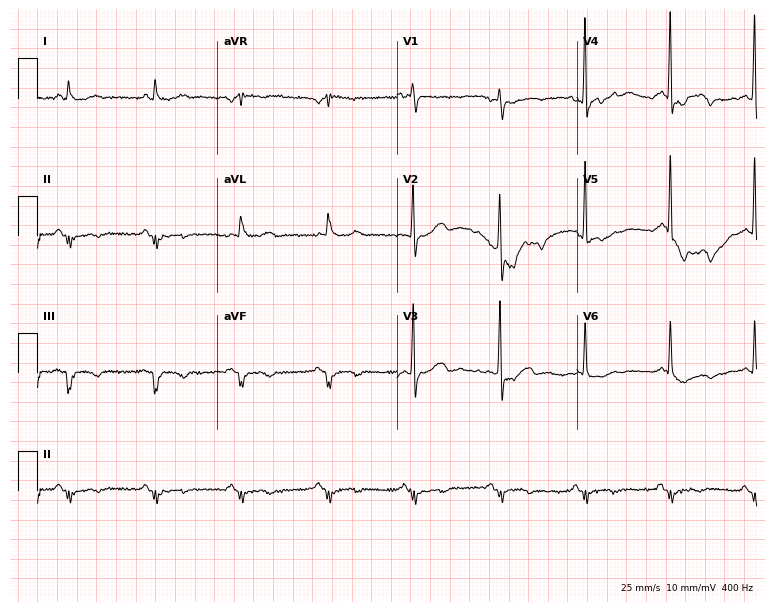
ECG — a 68-year-old man. Screened for six findings — first-degree AV block, right bundle branch block (RBBB), left bundle branch block (LBBB), sinus bradycardia, atrial fibrillation (AF), sinus tachycardia — none is recorded. Findings outside these six are not listed.